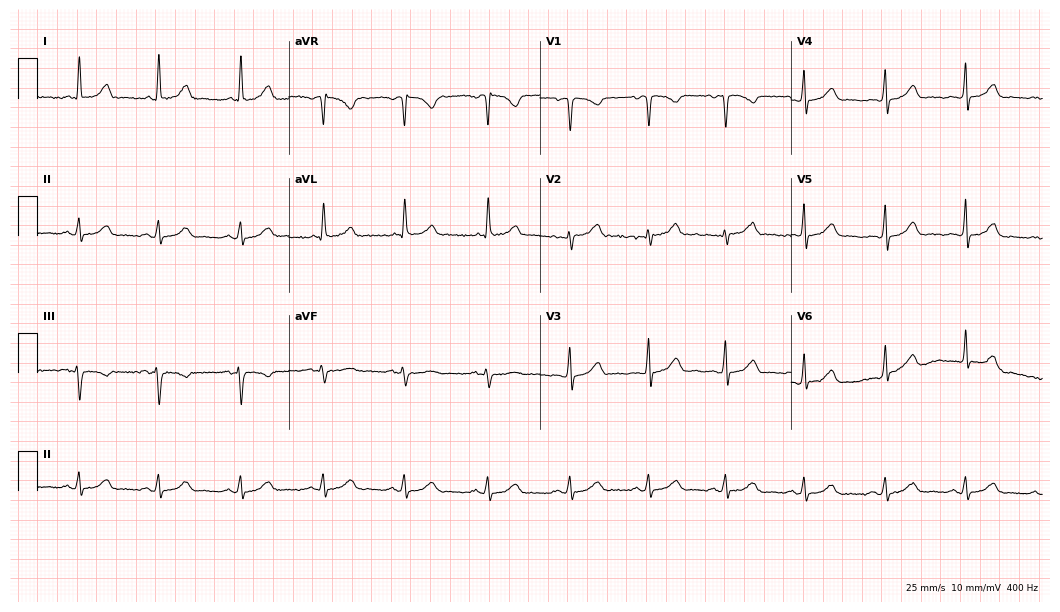
Resting 12-lead electrocardiogram. Patient: a 42-year-old female. None of these six findings is recorded: first-degree AV block, right bundle branch block (RBBB), left bundle branch block (LBBB), sinus bradycardia, atrial fibrillation (AF), sinus tachycardia.